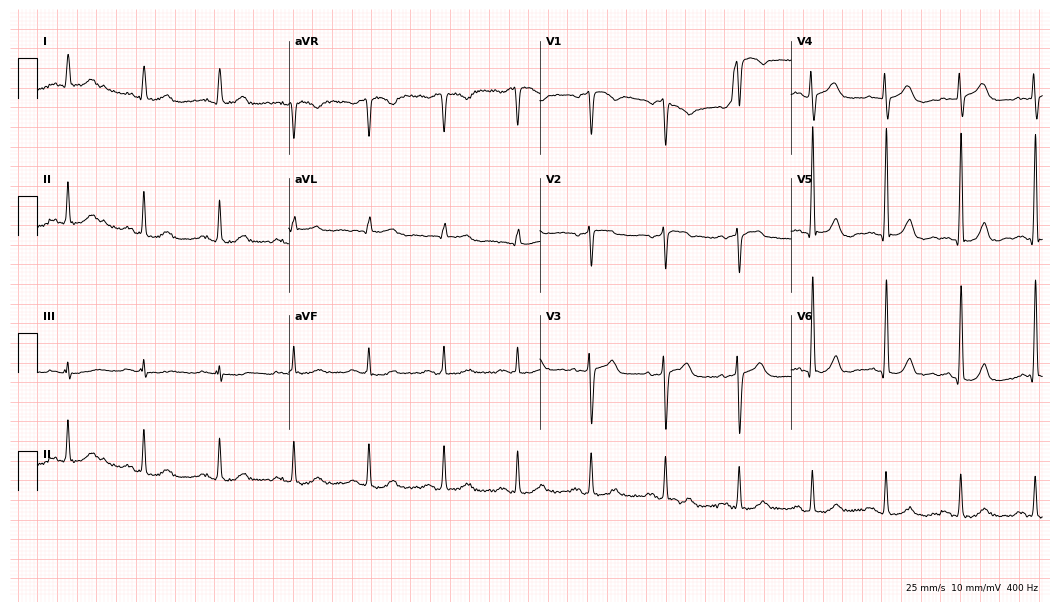
Electrocardiogram (10.2-second recording at 400 Hz), a male, 49 years old. Overall reading on record: normal ECG.